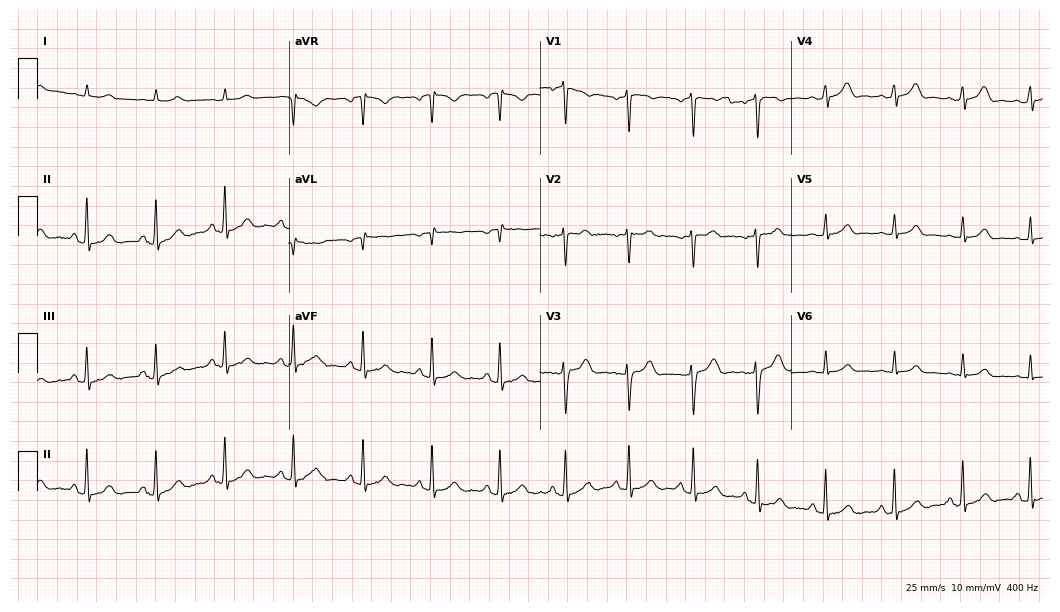
12-lead ECG from a 24-year-old male patient (10.2-second recording at 400 Hz). Recorded interpretation: within normal limits.